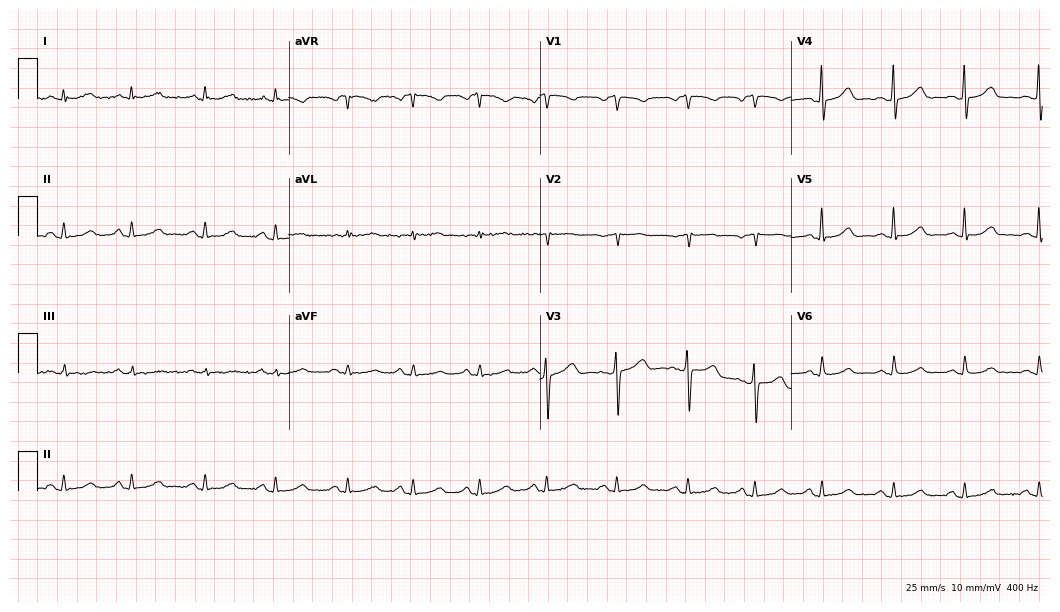
Electrocardiogram (10.2-second recording at 400 Hz), a woman, 73 years old. Overall reading on record: normal ECG.